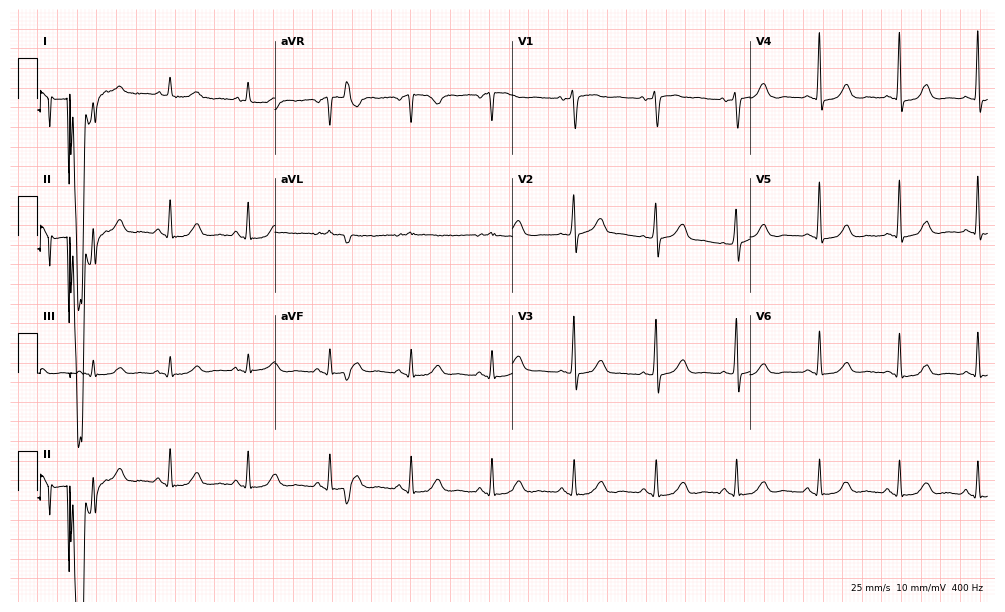
ECG — a 62-year-old woman. Labelled as a normal ECG.